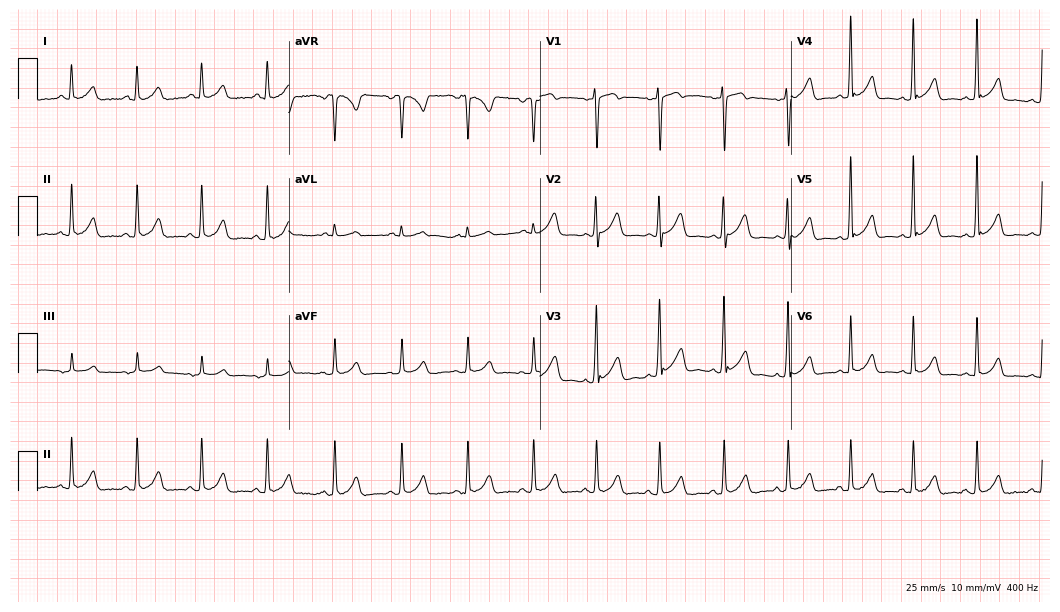
Electrocardiogram, a woman, 17 years old. Of the six screened findings (first-degree AV block, right bundle branch block, left bundle branch block, sinus bradycardia, atrial fibrillation, sinus tachycardia), none is recorded. Only these six findings were labelled.